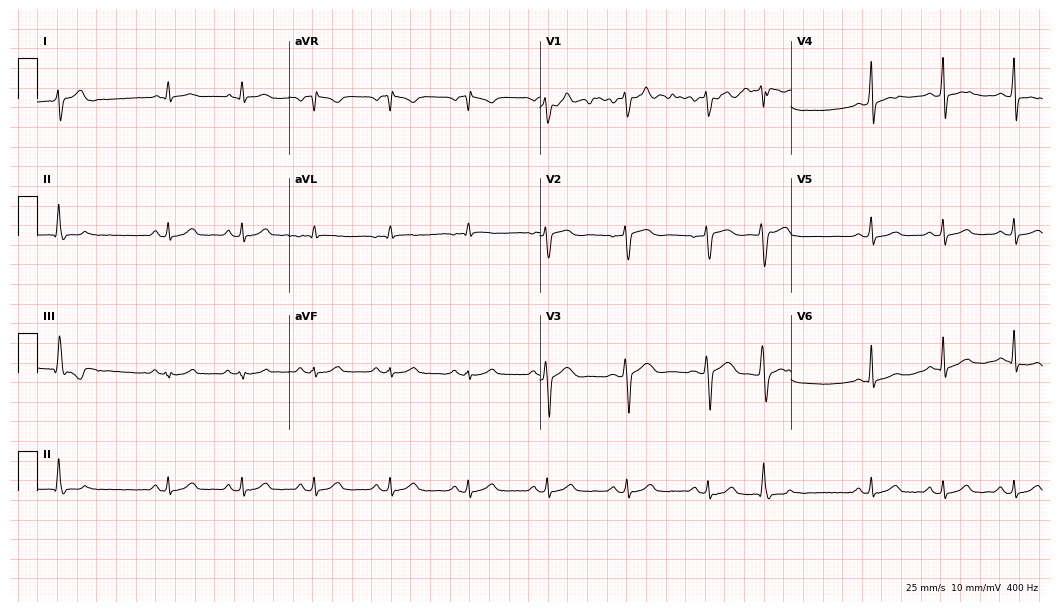
12-lead ECG from a woman, 27 years old (10.2-second recording at 400 Hz). Recorded interpretation: within normal limits.